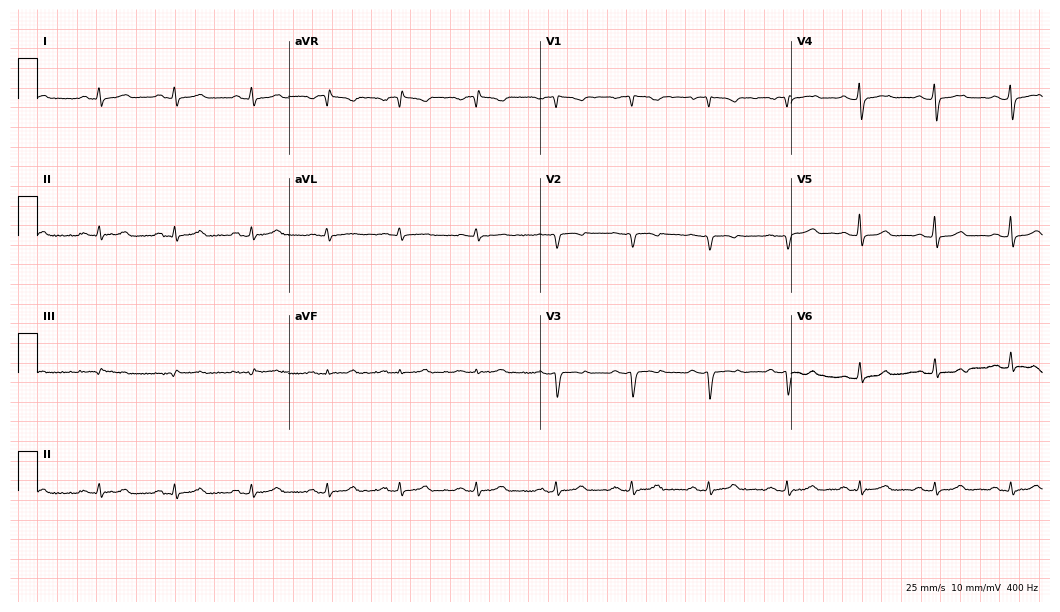
ECG — a 22-year-old female patient. Labelled as a normal ECG.